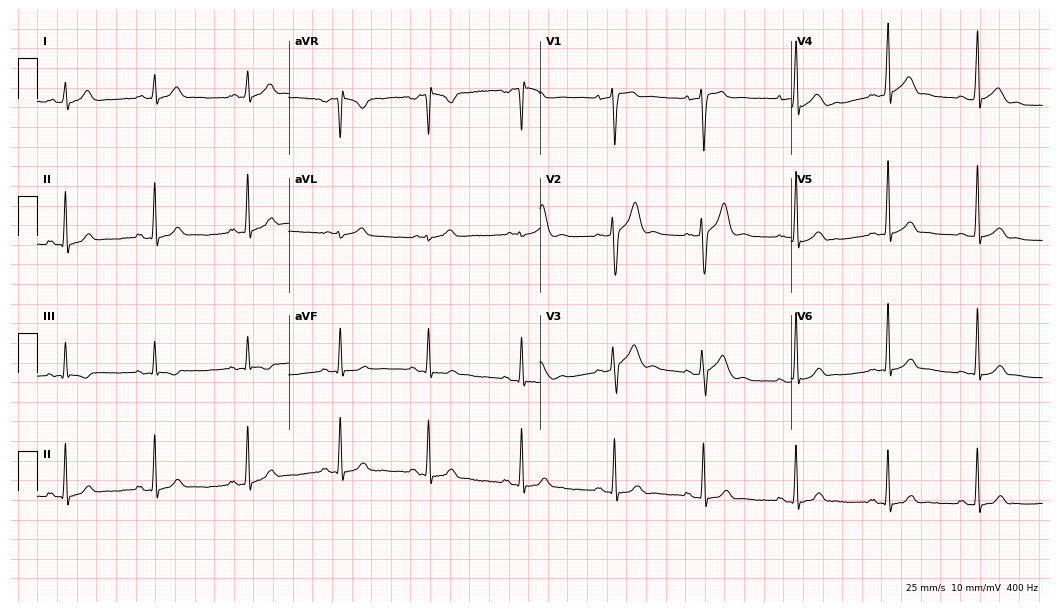
Resting 12-lead electrocardiogram (10.2-second recording at 400 Hz). Patient: a male, 28 years old. Read as a normal ECG.